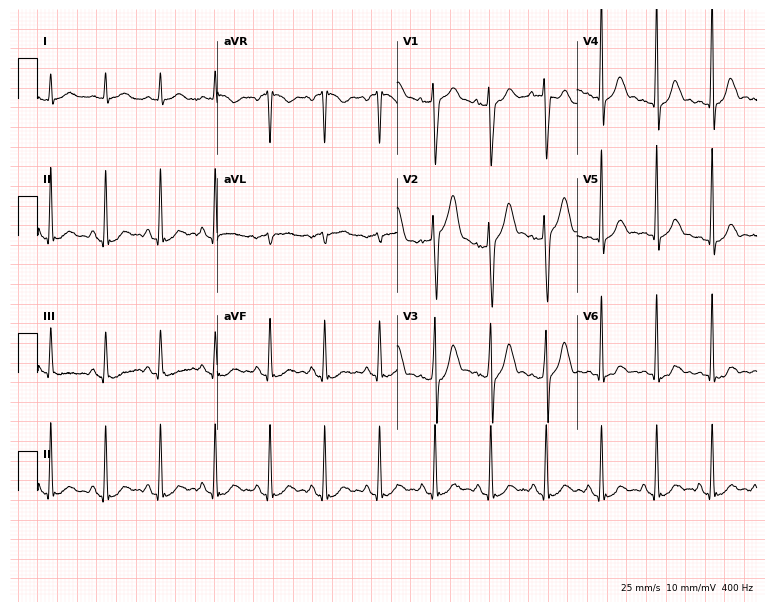
Electrocardiogram, a man, 38 years old. Of the six screened findings (first-degree AV block, right bundle branch block (RBBB), left bundle branch block (LBBB), sinus bradycardia, atrial fibrillation (AF), sinus tachycardia), none is recorded.